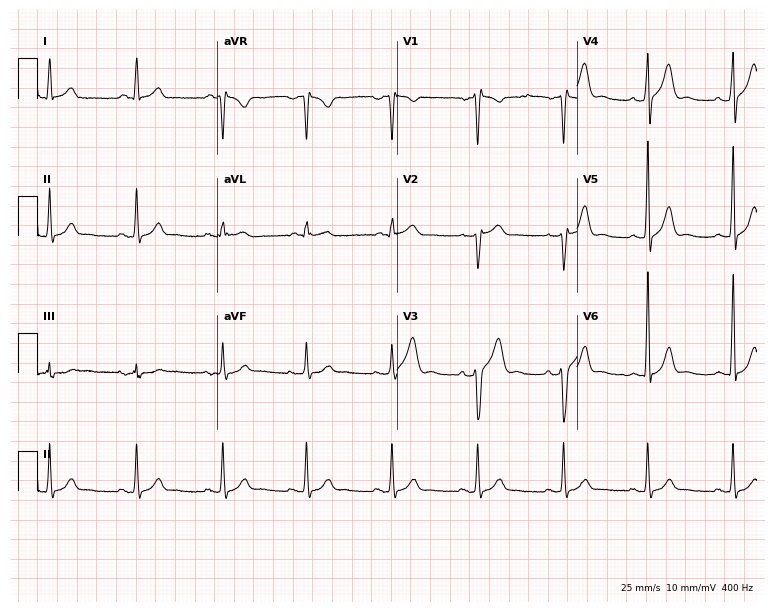
ECG — a 59-year-old male. Screened for six findings — first-degree AV block, right bundle branch block, left bundle branch block, sinus bradycardia, atrial fibrillation, sinus tachycardia — none is recorded. Findings outside these six are not listed.